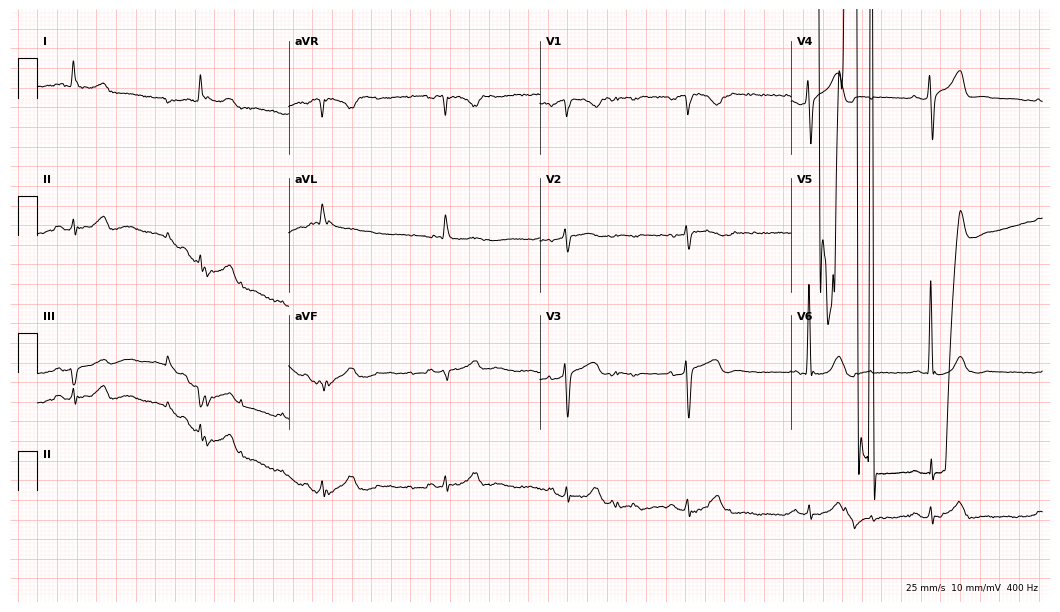
ECG (10.2-second recording at 400 Hz) — a 73-year-old man. Screened for six findings — first-degree AV block, right bundle branch block (RBBB), left bundle branch block (LBBB), sinus bradycardia, atrial fibrillation (AF), sinus tachycardia — none is recorded.